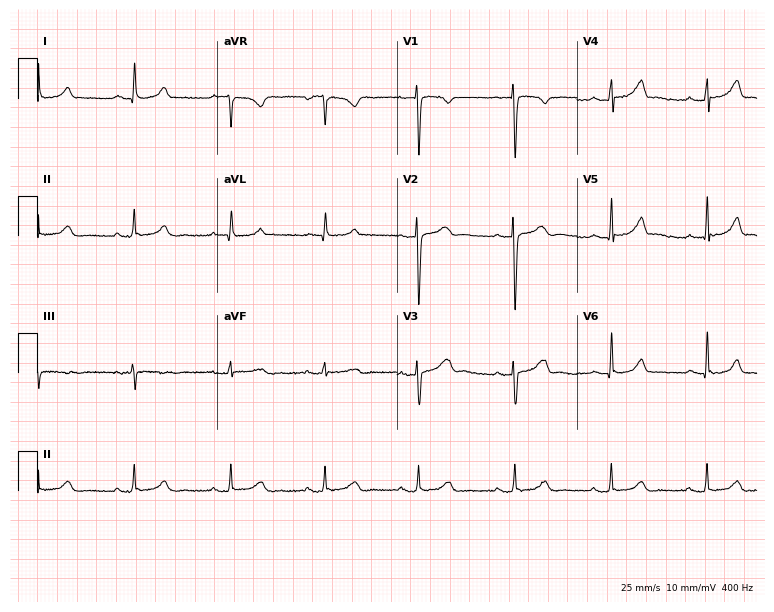
Resting 12-lead electrocardiogram. Patient: a 36-year-old female. None of these six findings is recorded: first-degree AV block, right bundle branch block (RBBB), left bundle branch block (LBBB), sinus bradycardia, atrial fibrillation (AF), sinus tachycardia.